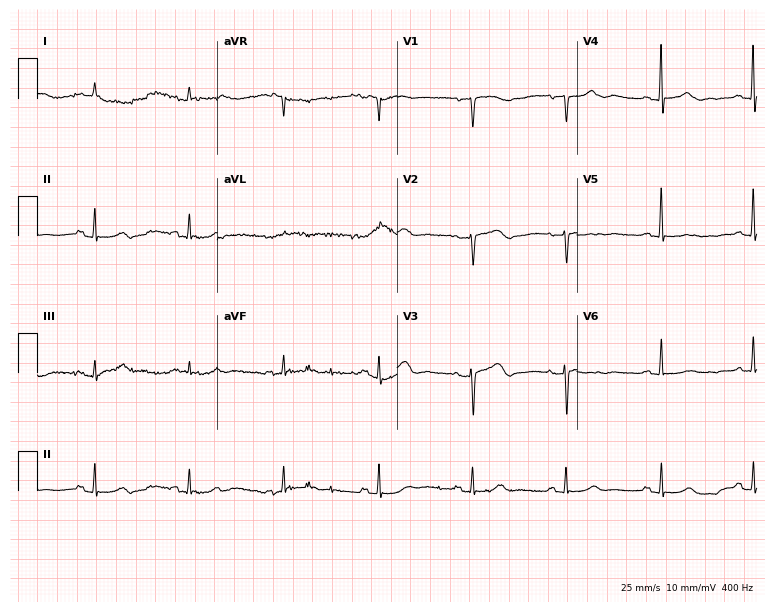
Standard 12-lead ECG recorded from a female, 83 years old. None of these six findings is recorded: first-degree AV block, right bundle branch block, left bundle branch block, sinus bradycardia, atrial fibrillation, sinus tachycardia. Only these six findings were labelled.